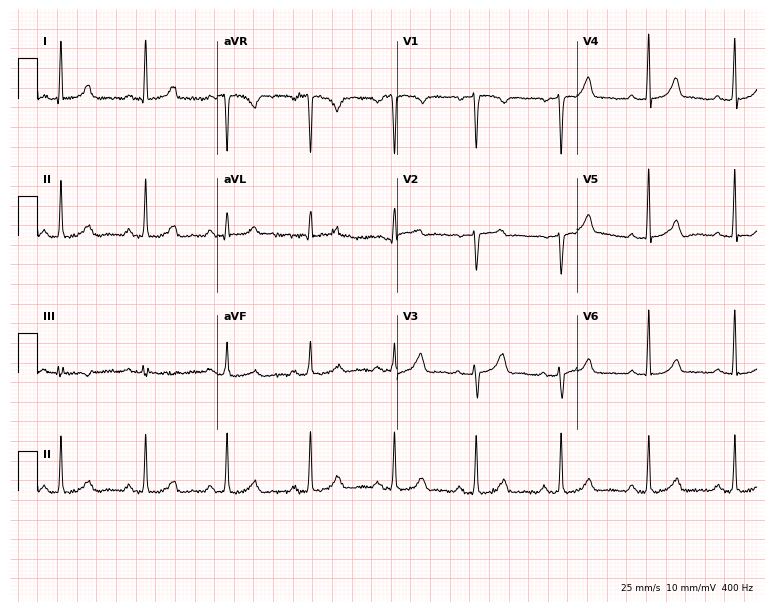
Resting 12-lead electrocardiogram. Patient: a 51-year-old female. Read as a normal ECG.